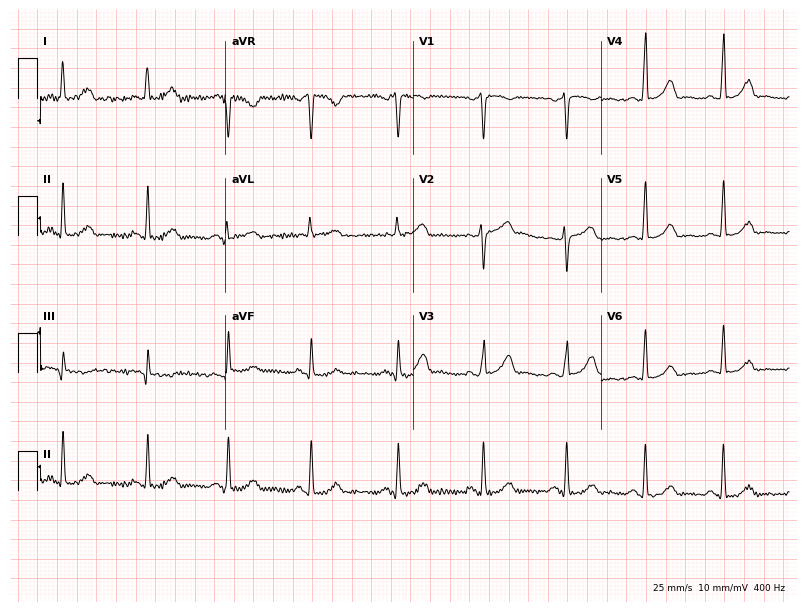
Standard 12-lead ECG recorded from a woman, 45 years old (7.7-second recording at 400 Hz). Read as a normal ECG.